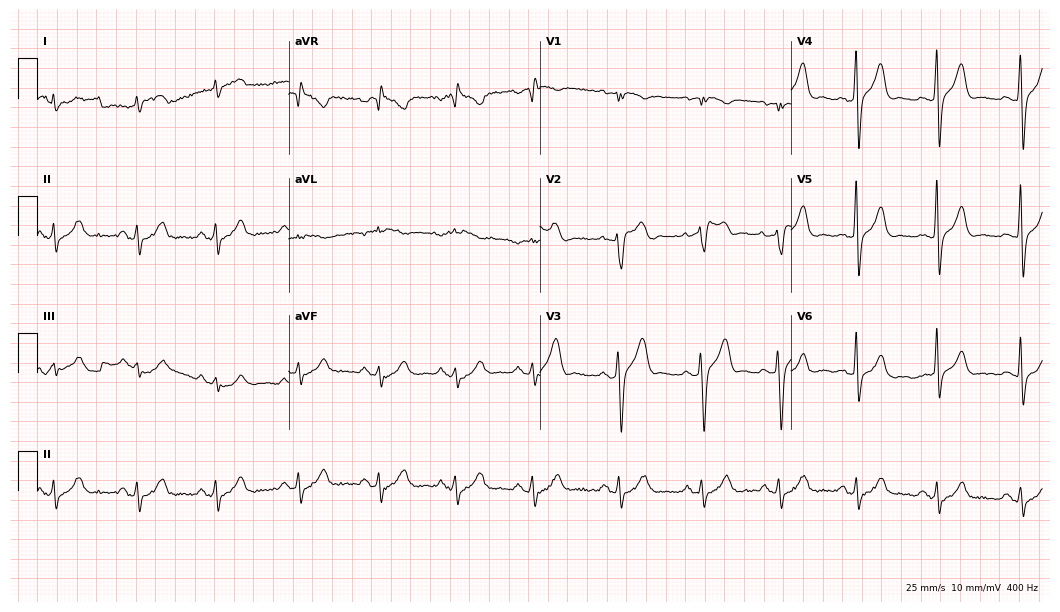
Resting 12-lead electrocardiogram. Patient: a male, 63 years old. Read as a normal ECG.